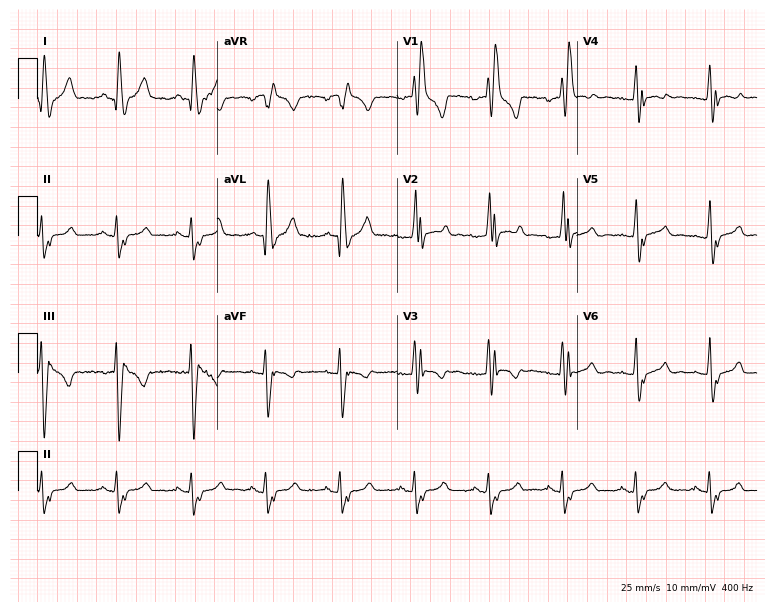
Resting 12-lead electrocardiogram. Patient: a male, 40 years old. The tracing shows right bundle branch block.